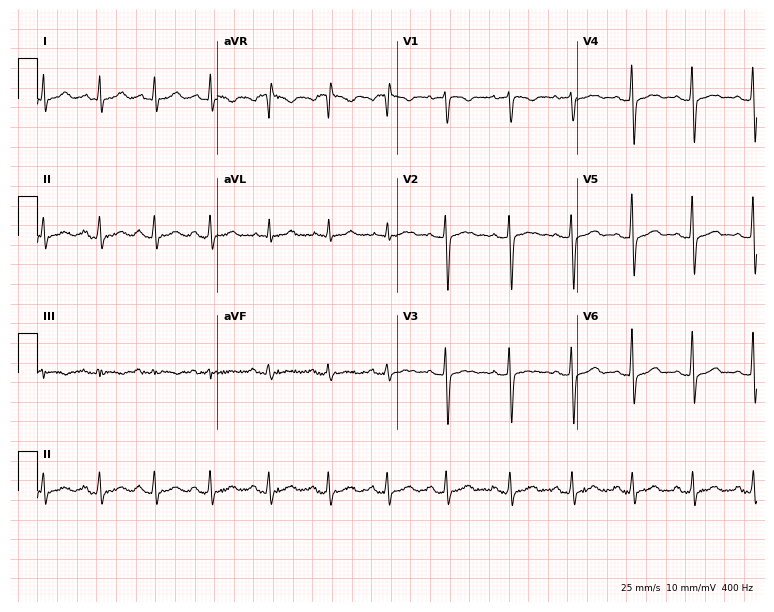
Electrocardiogram (7.3-second recording at 400 Hz), a 22-year-old female patient. Of the six screened findings (first-degree AV block, right bundle branch block, left bundle branch block, sinus bradycardia, atrial fibrillation, sinus tachycardia), none is recorded. Other findings, if any, are not listed.